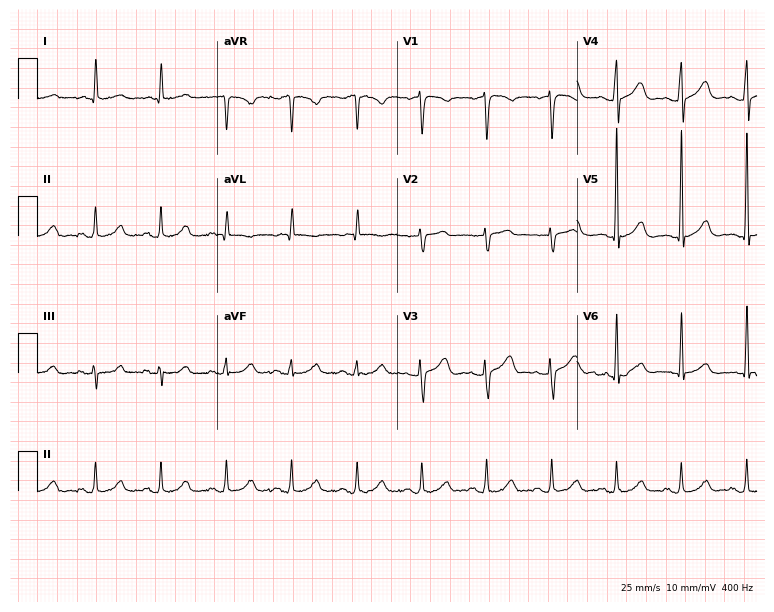
12-lead ECG (7.3-second recording at 400 Hz) from a man, 80 years old. Screened for six findings — first-degree AV block, right bundle branch block, left bundle branch block, sinus bradycardia, atrial fibrillation, sinus tachycardia — none is recorded. Findings outside these six are not listed.